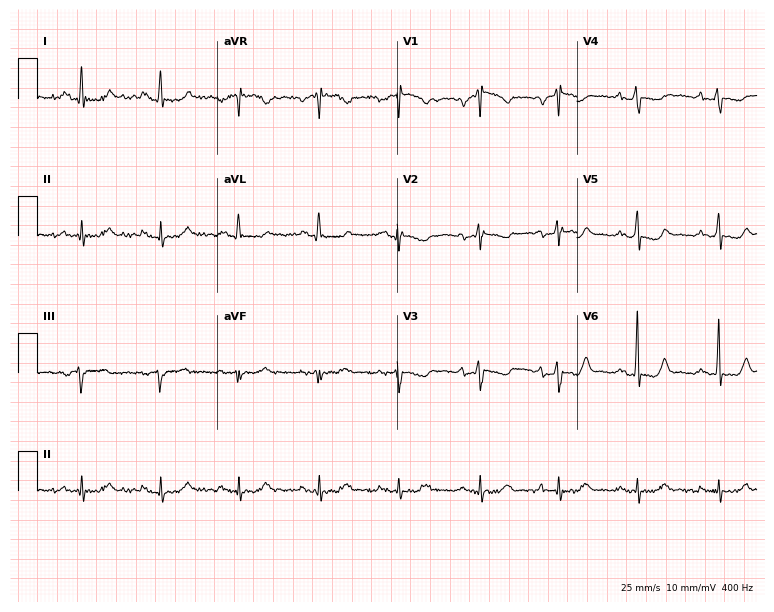
12-lead ECG (7.3-second recording at 400 Hz) from a woman, 40 years old. Screened for six findings — first-degree AV block, right bundle branch block, left bundle branch block, sinus bradycardia, atrial fibrillation, sinus tachycardia — none is recorded. Other findings, if any, are not listed.